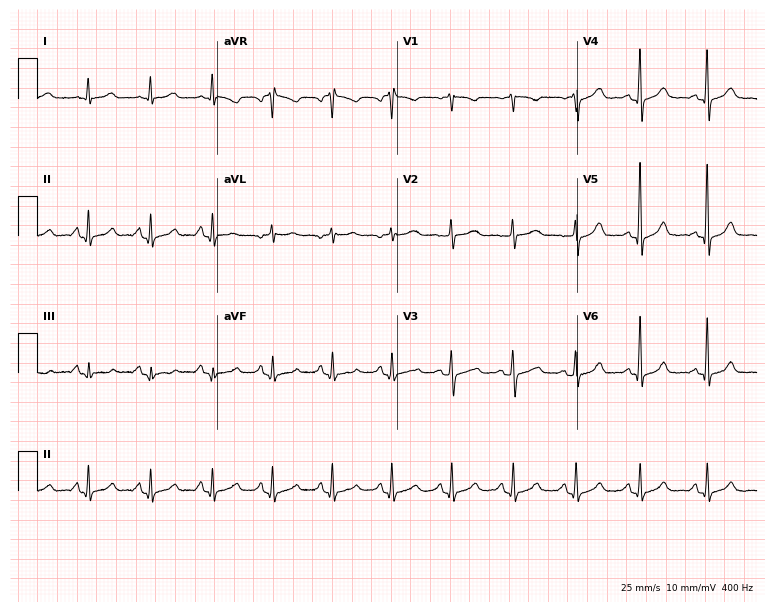
Standard 12-lead ECG recorded from a female patient, 68 years old (7.3-second recording at 400 Hz). None of these six findings is recorded: first-degree AV block, right bundle branch block (RBBB), left bundle branch block (LBBB), sinus bradycardia, atrial fibrillation (AF), sinus tachycardia.